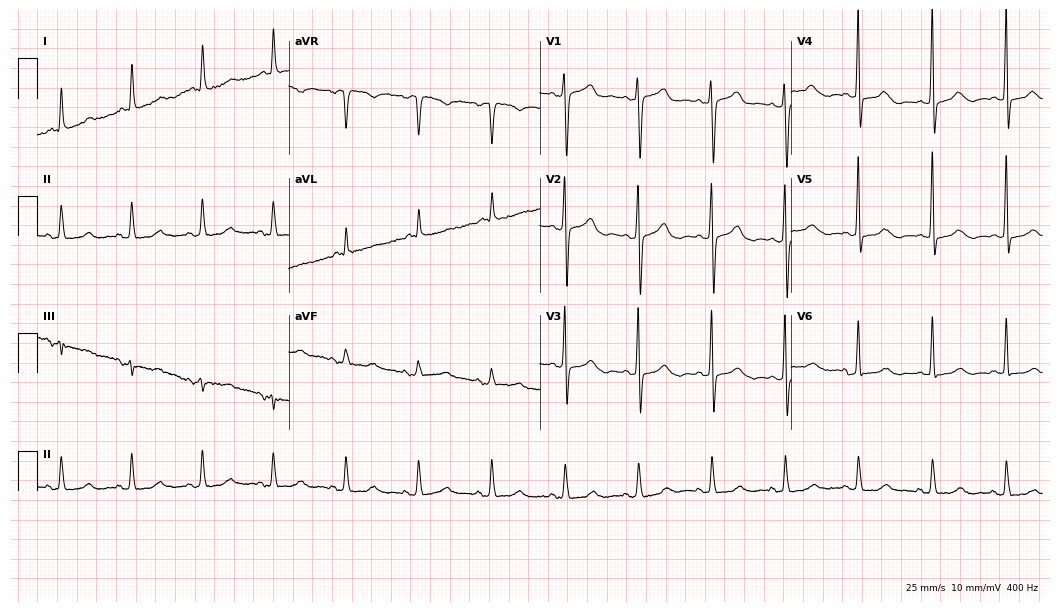
Standard 12-lead ECG recorded from a female patient, 81 years old. None of these six findings is recorded: first-degree AV block, right bundle branch block, left bundle branch block, sinus bradycardia, atrial fibrillation, sinus tachycardia. Other findings, if any, are not listed.